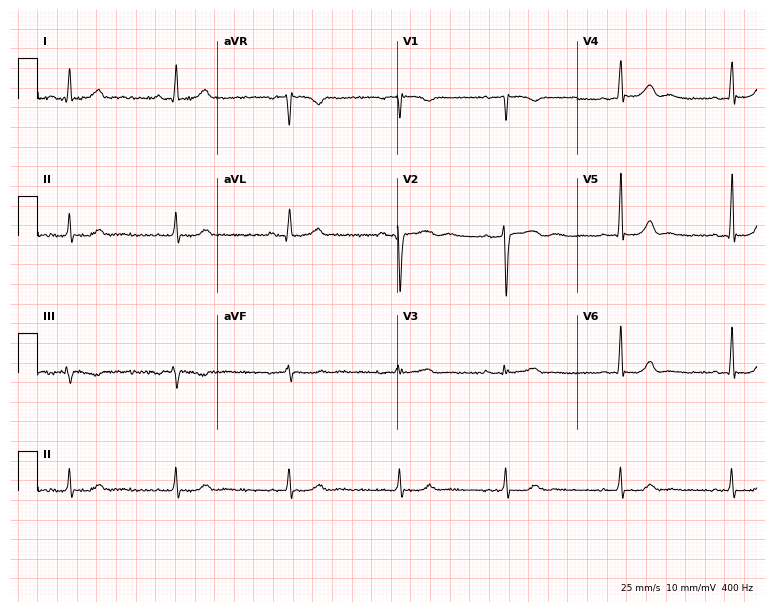
Standard 12-lead ECG recorded from a female, 27 years old. Read as a normal ECG.